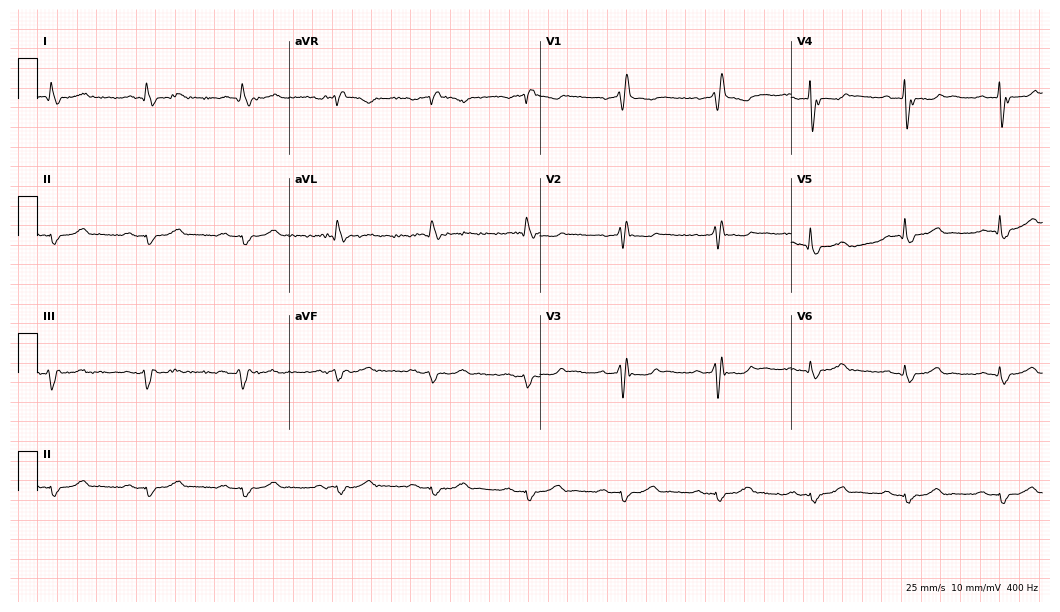
Resting 12-lead electrocardiogram (10.2-second recording at 400 Hz). Patient: a male, 78 years old. None of these six findings is recorded: first-degree AV block, right bundle branch block, left bundle branch block, sinus bradycardia, atrial fibrillation, sinus tachycardia.